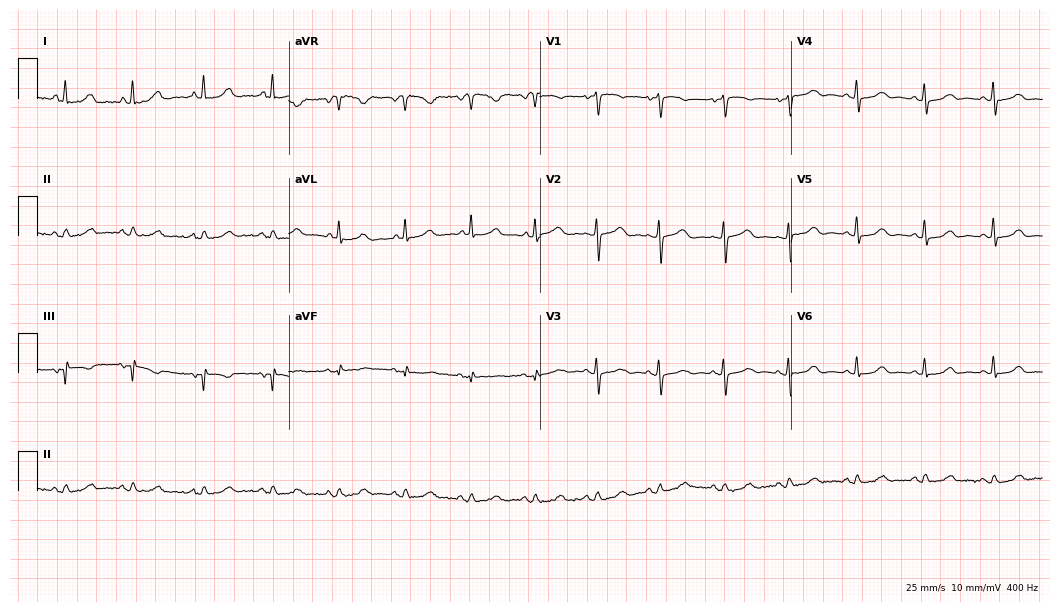
Resting 12-lead electrocardiogram (10.2-second recording at 400 Hz). Patient: a 69-year-old woman. None of these six findings is recorded: first-degree AV block, right bundle branch block (RBBB), left bundle branch block (LBBB), sinus bradycardia, atrial fibrillation (AF), sinus tachycardia. Findings outside these six are not listed.